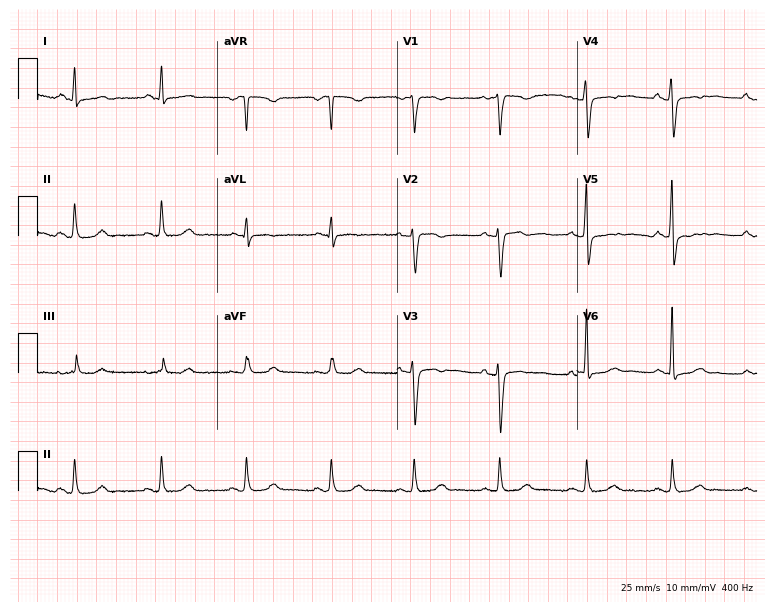
Resting 12-lead electrocardiogram. Patient: a woman, 57 years old. None of these six findings is recorded: first-degree AV block, right bundle branch block, left bundle branch block, sinus bradycardia, atrial fibrillation, sinus tachycardia.